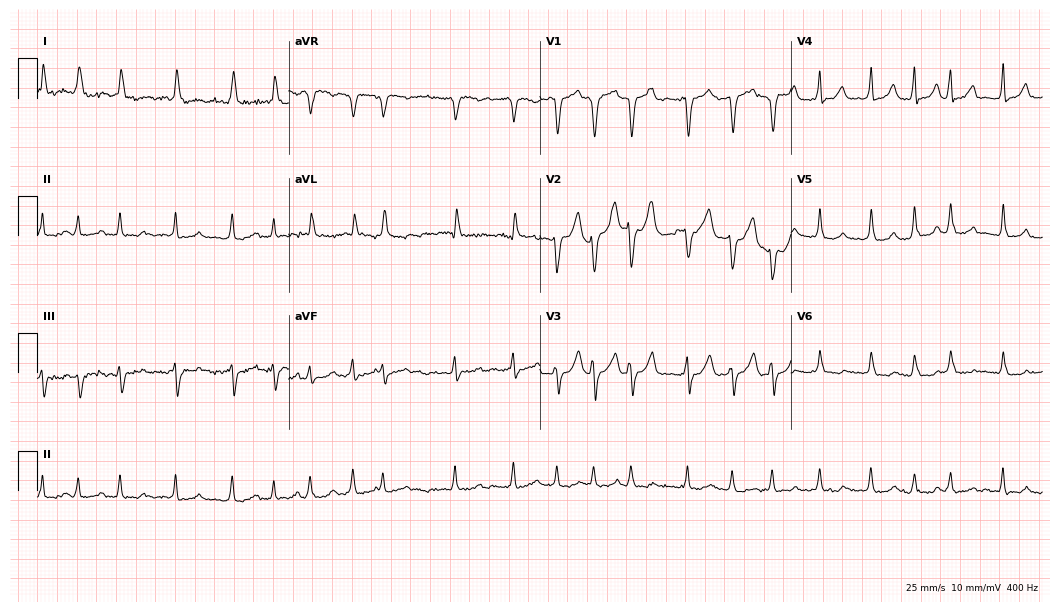
Standard 12-lead ECG recorded from a 77-year-old female. None of these six findings is recorded: first-degree AV block, right bundle branch block, left bundle branch block, sinus bradycardia, atrial fibrillation, sinus tachycardia. Findings outside these six are not listed.